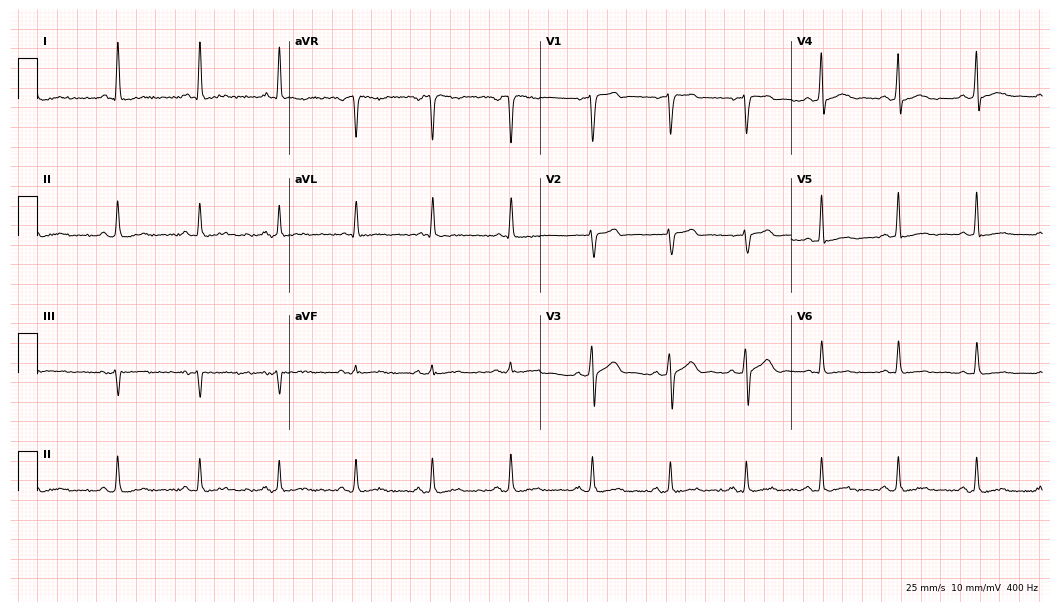
12-lead ECG from a 44-year-old man. Screened for six findings — first-degree AV block, right bundle branch block, left bundle branch block, sinus bradycardia, atrial fibrillation, sinus tachycardia — none is recorded. Other findings, if any, are not listed.